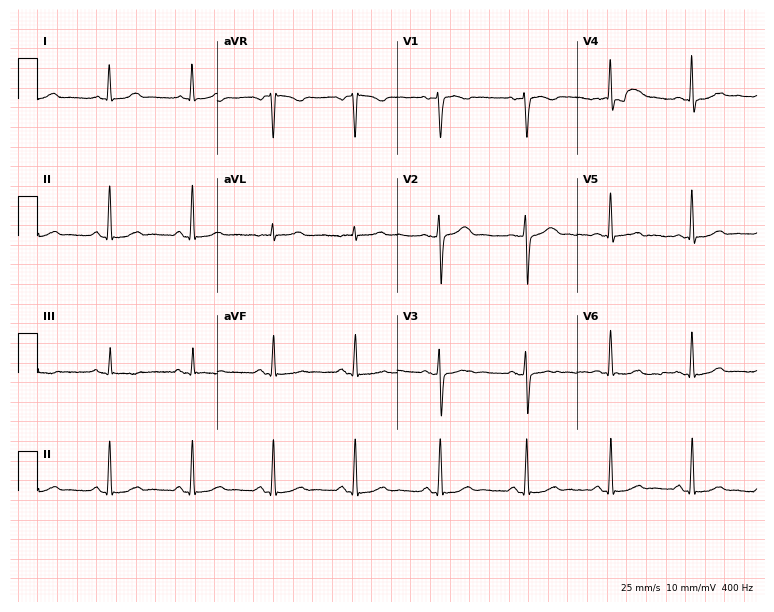
Standard 12-lead ECG recorded from a female patient, 45 years old. None of these six findings is recorded: first-degree AV block, right bundle branch block (RBBB), left bundle branch block (LBBB), sinus bradycardia, atrial fibrillation (AF), sinus tachycardia.